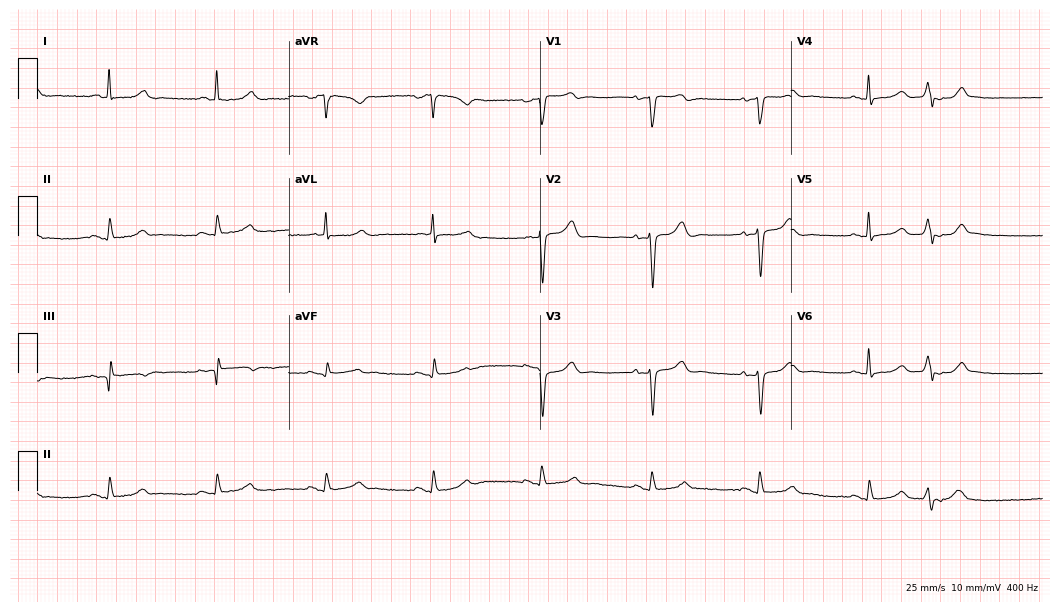
12-lead ECG from a woman, 72 years old. Screened for six findings — first-degree AV block, right bundle branch block (RBBB), left bundle branch block (LBBB), sinus bradycardia, atrial fibrillation (AF), sinus tachycardia — none is recorded.